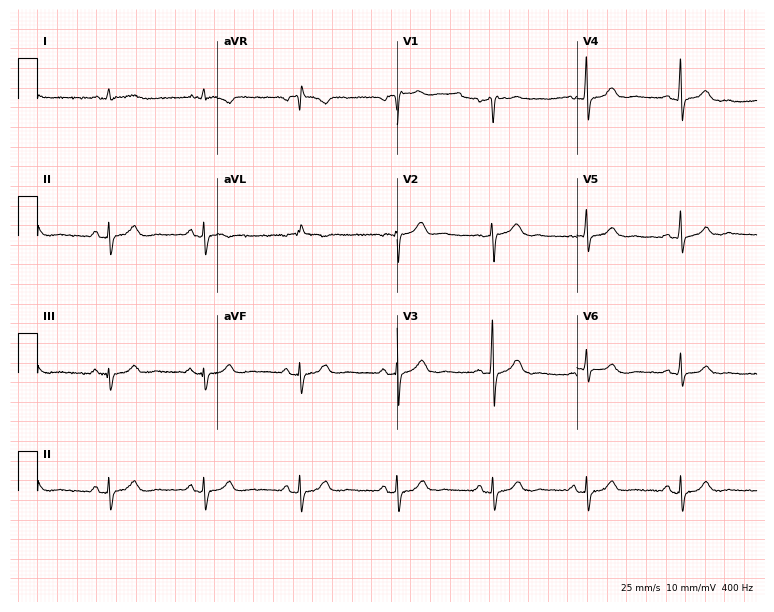
Electrocardiogram (7.3-second recording at 400 Hz), a 56-year-old male. Of the six screened findings (first-degree AV block, right bundle branch block (RBBB), left bundle branch block (LBBB), sinus bradycardia, atrial fibrillation (AF), sinus tachycardia), none is recorded.